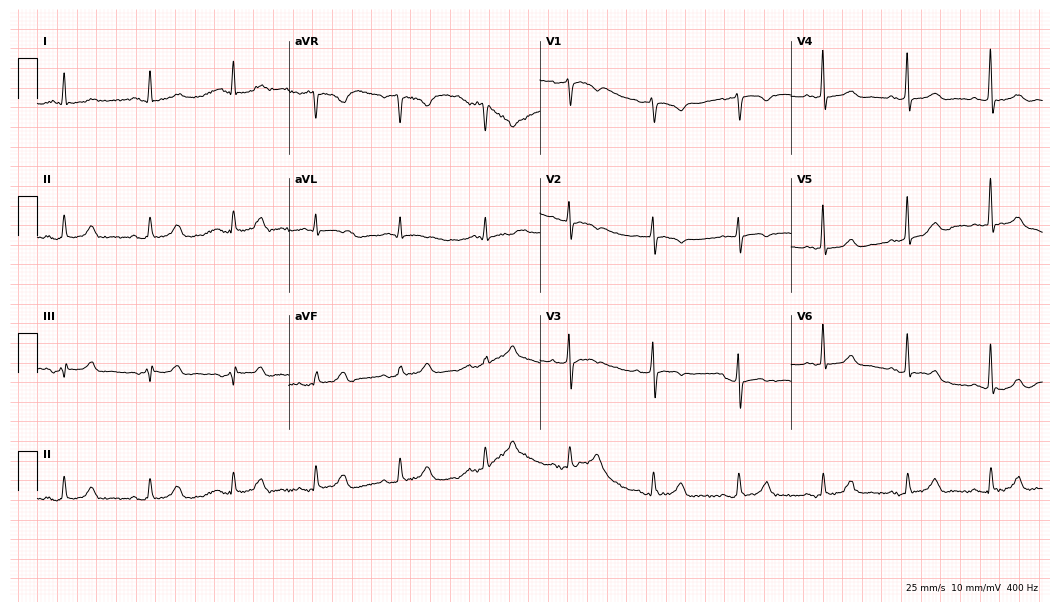
Resting 12-lead electrocardiogram. Patient: a female, 75 years old. None of these six findings is recorded: first-degree AV block, right bundle branch block, left bundle branch block, sinus bradycardia, atrial fibrillation, sinus tachycardia.